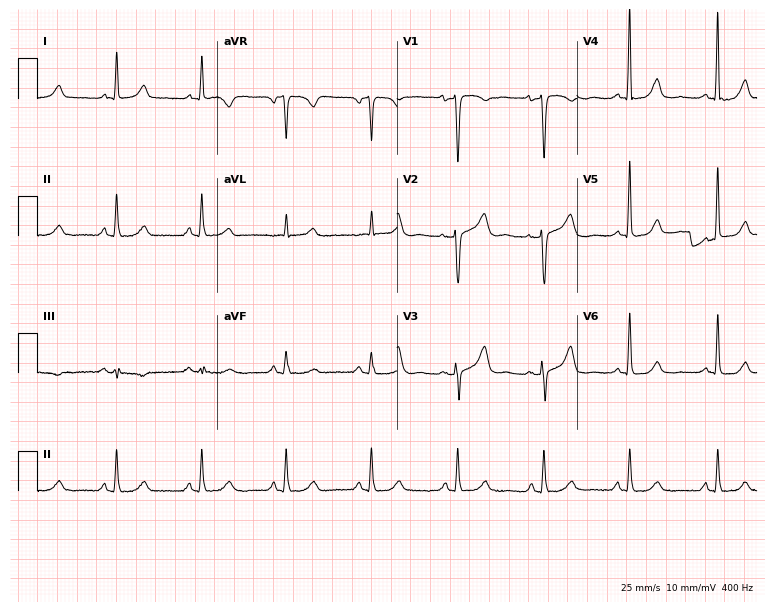
12-lead ECG from a 76-year-old female patient. Screened for six findings — first-degree AV block, right bundle branch block, left bundle branch block, sinus bradycardia, atrial fibrillation, sinus tachycardia — none is recorded. Findings outside these six are not listed.